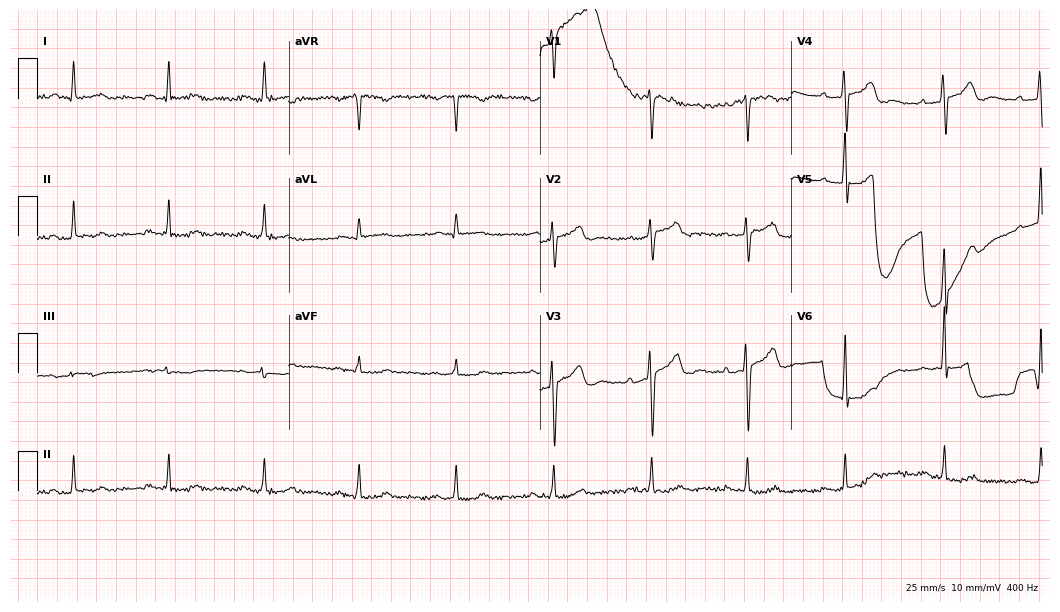
Electrocardiogram (10.2-second recording at 400 Hz), a 52-year-old man. Of the six screened findings (first-degree AV block, right bundle branch block (RBBB), left bundle branch block (LBBB), sinus bradycardia, atrial fibrillation (AF), sinus tachycardia), none is recorded.